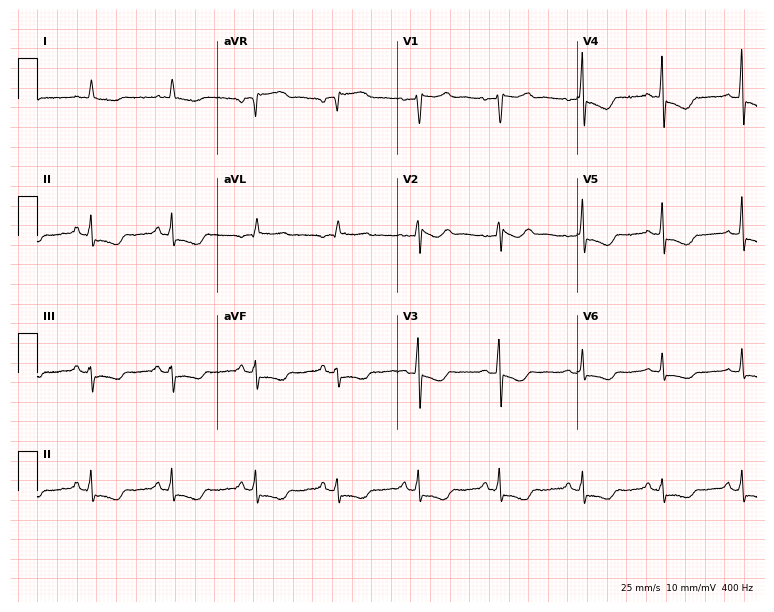
ECG (7.3-second recording at 400 Hz) — a 43-year-old female. Screened for six findings — first-degree AV block, right bundle branch block, left bundle branch block, sinus bradycardia, atrial fibrillation, sinus tachycardia — none is recorded.